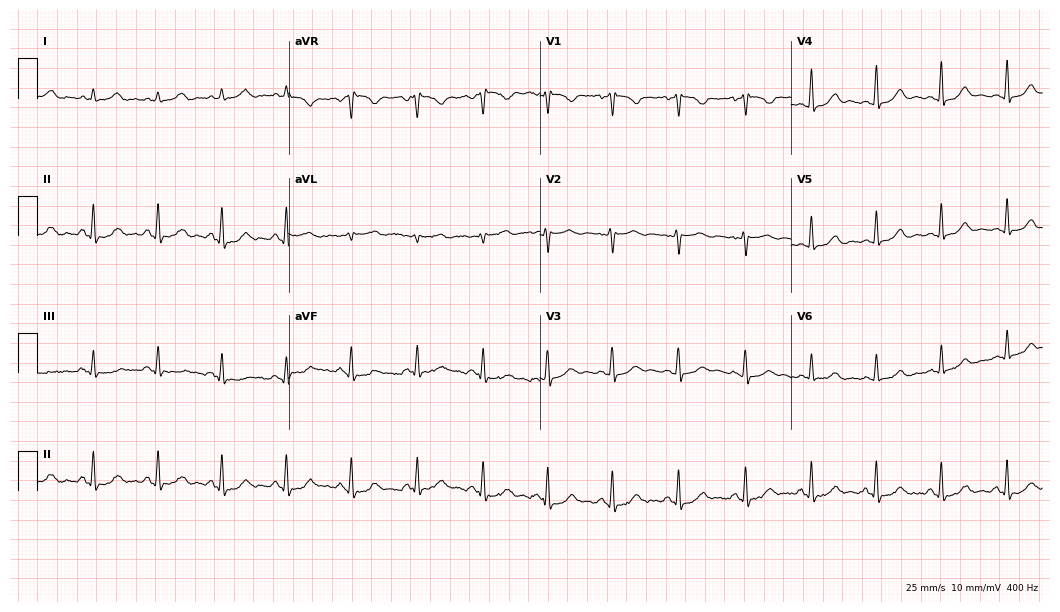
Standard 12-lead ECG recorded from a 40-year-old female. None of these six findings is recorded: first-degree AV block, right bundle branch block, left bundle branch block, sinus bradycardia, atrial fibrillation, sinus tachycardia. Only these six findings were labelled.